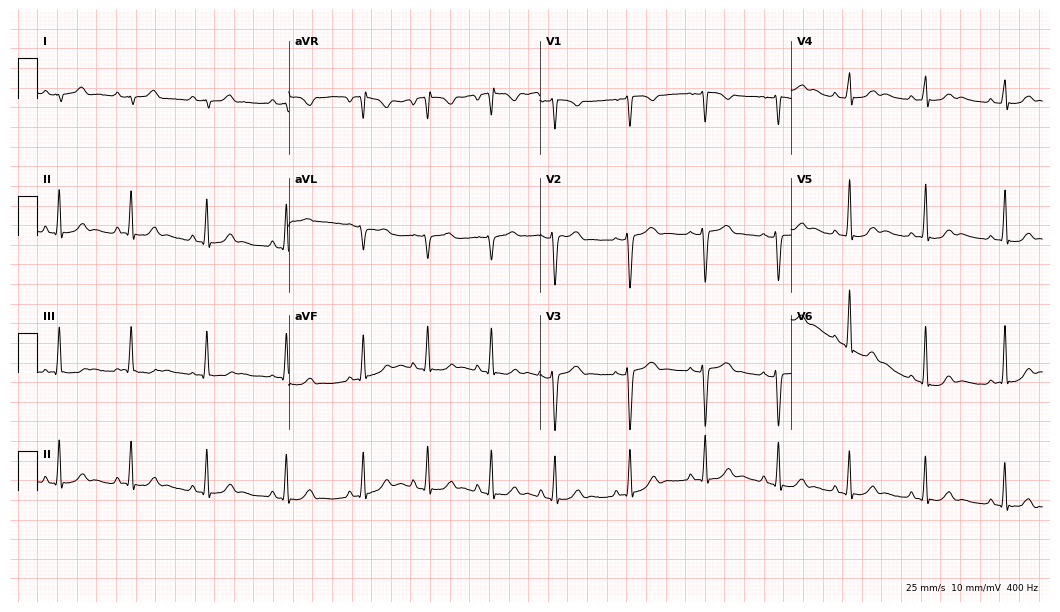
12-lead ECG from a female, 23 years old. Labelled as a normal ECG.